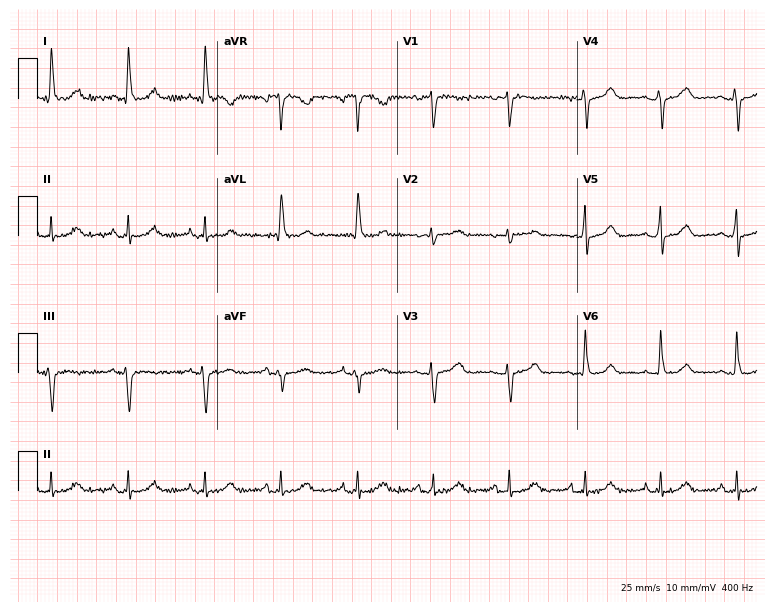
ECG — a 72-year-old female. Labelled as a normal ECG.